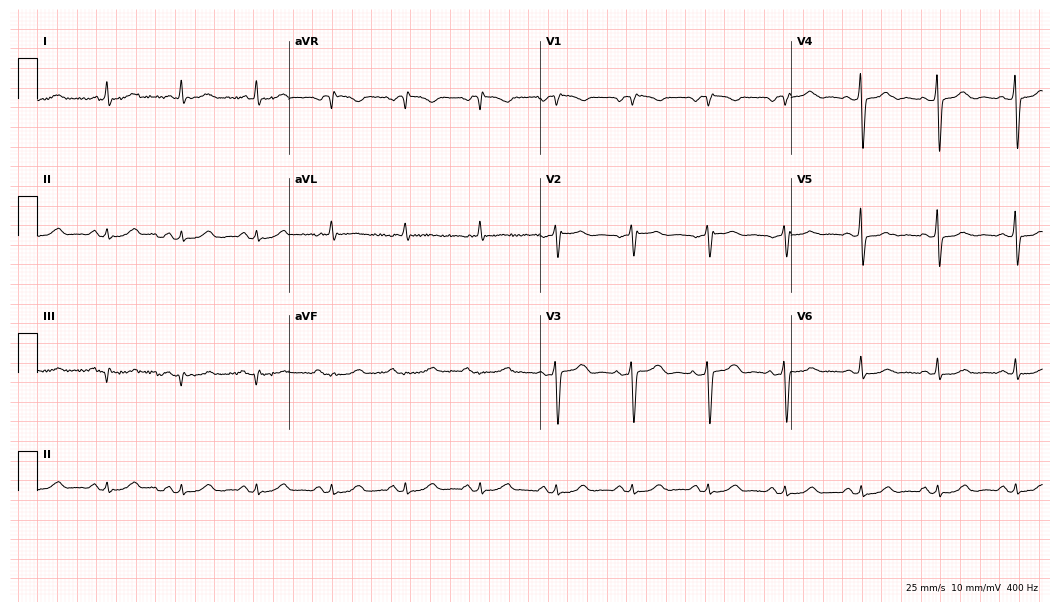
12-lead ECG from a female patient, 63 years old. Recorded interpretation: within normal limits.